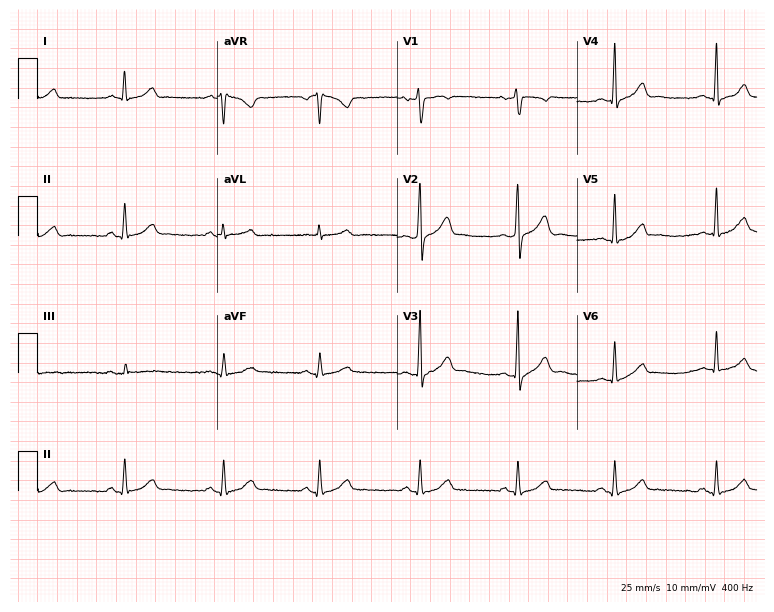
12-lead ECG from a man, 53 years old (7.3-second recording at 400 Hz). Recorded interpretation: within normal limits.